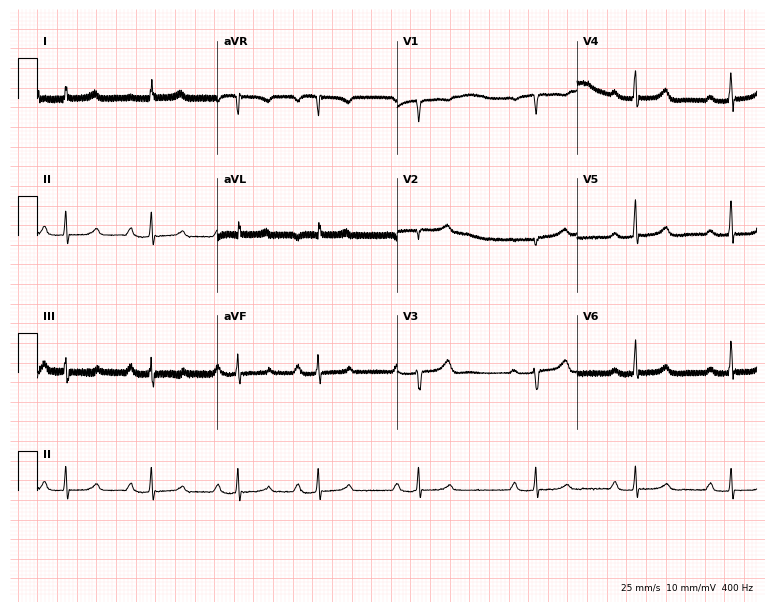
Standard 12-lead ECG recorded from a 47-year-old female patient (7.3-second recording at 400 Hz). None of these six findings is recorded: first-degree AV block, right bundle branch block, left bundle branch block, sinus bradycardia, atrial fibrillation, sinus tachycardia.